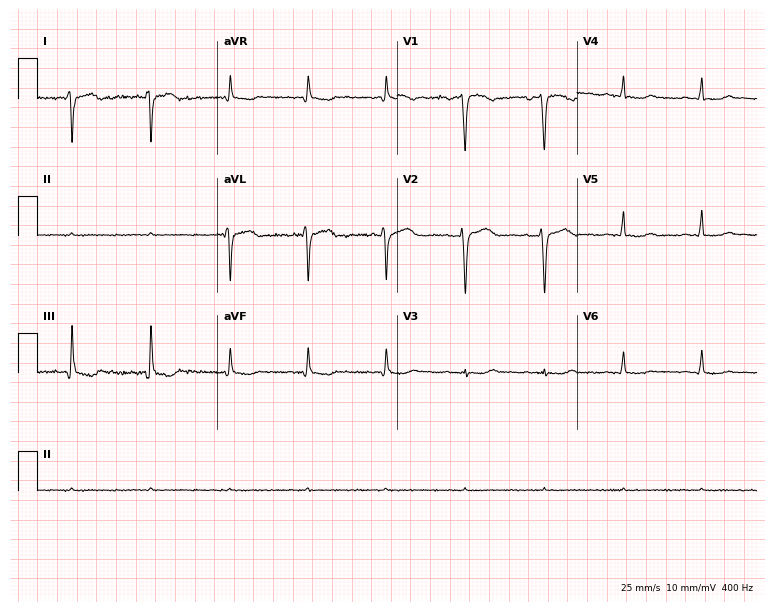
12-lead ECG from a woman, 56 years old. Screened for six findings — first-degree AV block, right bundle branch block (RBBB), left bundle branch block (LBBB), sinus bradycardia, atrial fibrillation (AF), sinus tachycardia — none is recorded. Other findings, if any, are not listed.